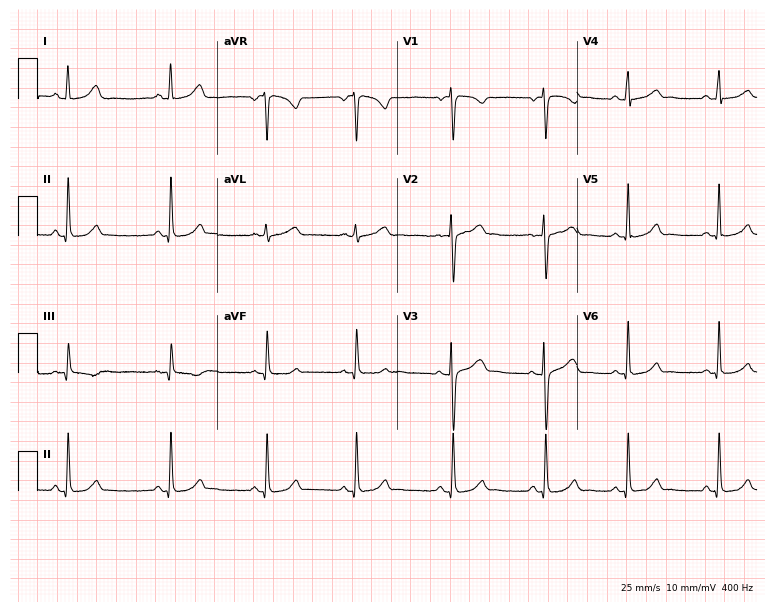
Resting 12-lead electrocardiogram (7.3-second recording at 400 Hz). Patient: a female, 29 years old. Read as a normal ECG.